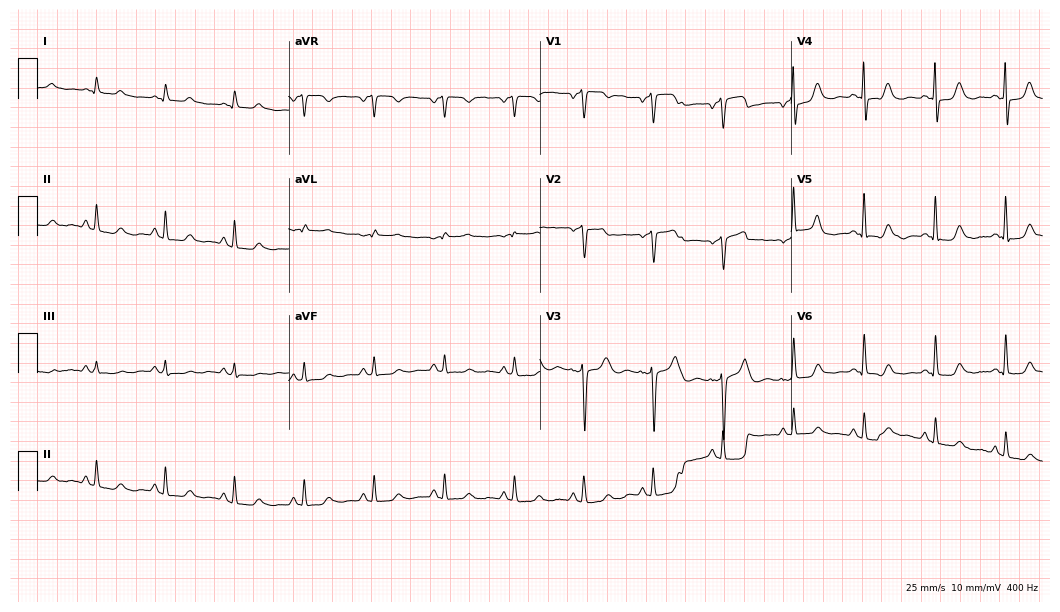
Resting 12-lead electrocardiogram (10.2-second recording at 400 Hz). Patient: a female, 56 years old. Read as a normal ECG.